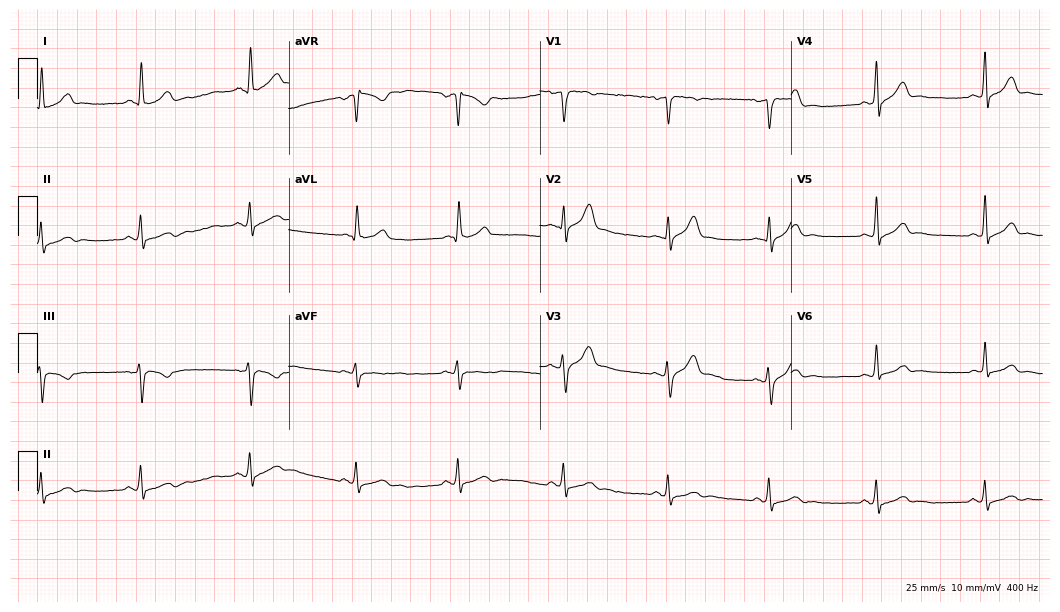
Standard 12-lead ECG recorded from a 25-year-old man. Read as a normal ECG.